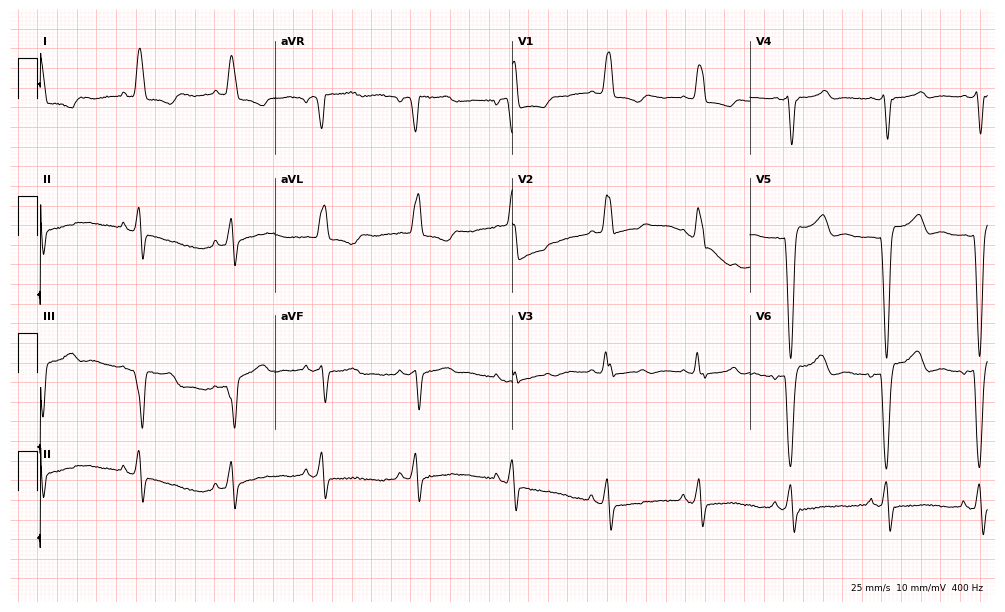
Standard 12-lead ECG recorded from a female, 73 years old. None of these six findings is recorded: first-degree AV block, right bundle branch block (RBBB), left bundle branch block (LBBB), sinus bradycardia, atrial fibrillation (AF), sinus tachycardia. Findings outside these six are not listed.